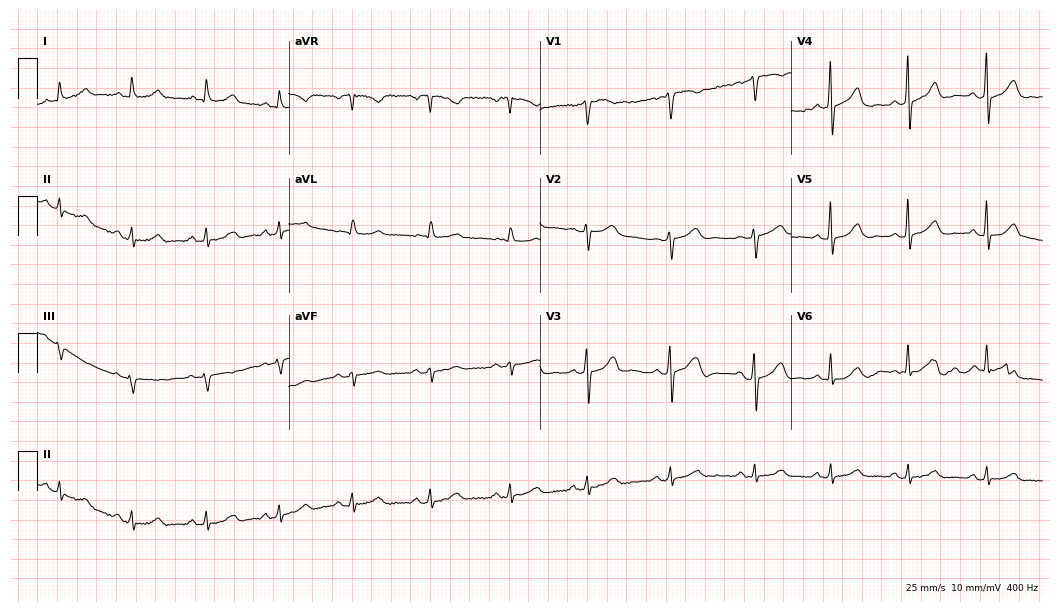
12-lead ECG (10.2-second recording at 400 Hz) from a 48-year-old woman. Labelled as a normal ECG.